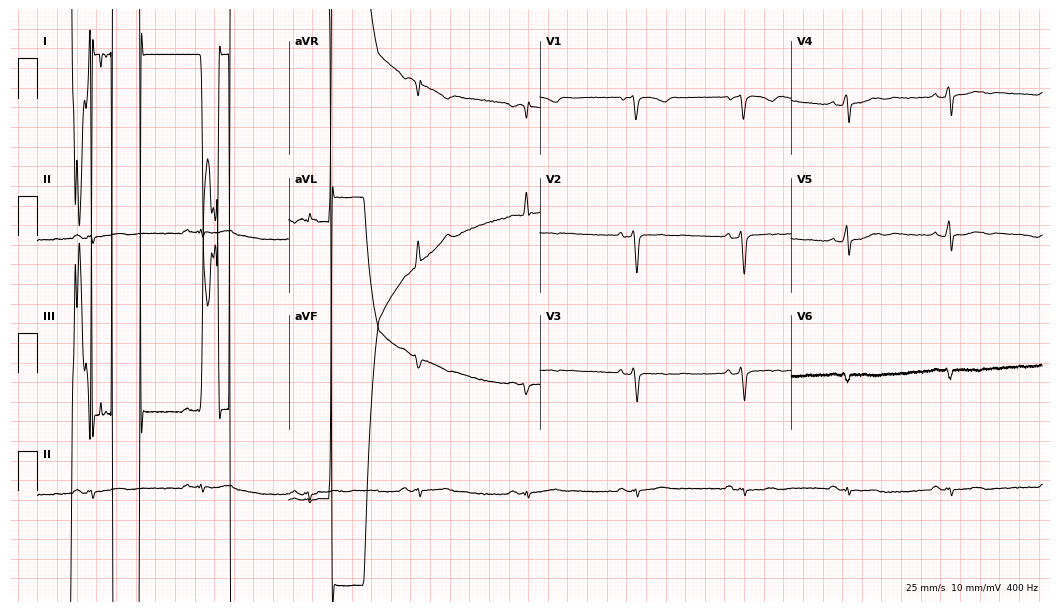
12-lead ECG from a 56-year-old female patient. No first-degree AV block, right bundle branch block, left bundle branch block, sinus bradycardia, atrial fibrillation or sinus tachycardia recorded for this tracing. Only these six findings were labelled.